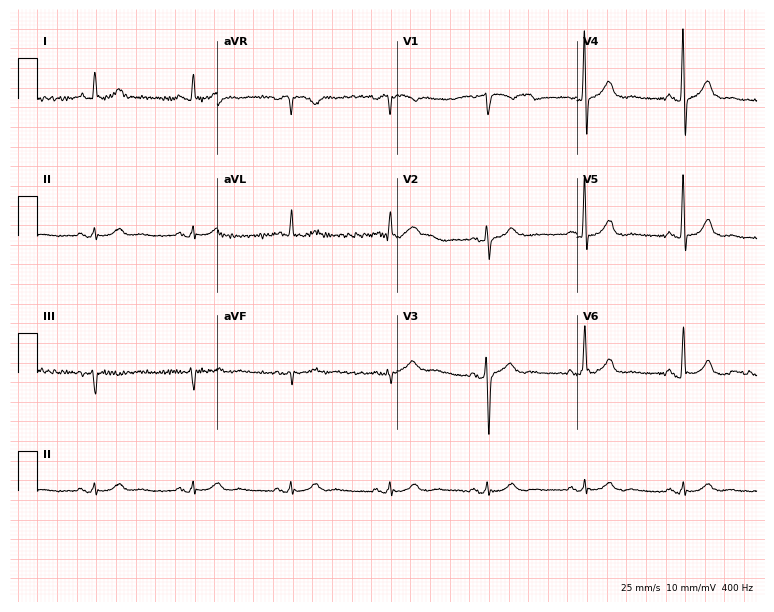
12-lead ECG from a man, 71 years old. No first-degree AV block, right bundle branch block (RBBB), left bundle branch block (LBBB), sinus bradycardia, atrial fibrillation (AF) or sinus tachycardia recorded for this tracing. Findings outside these six are not listed.